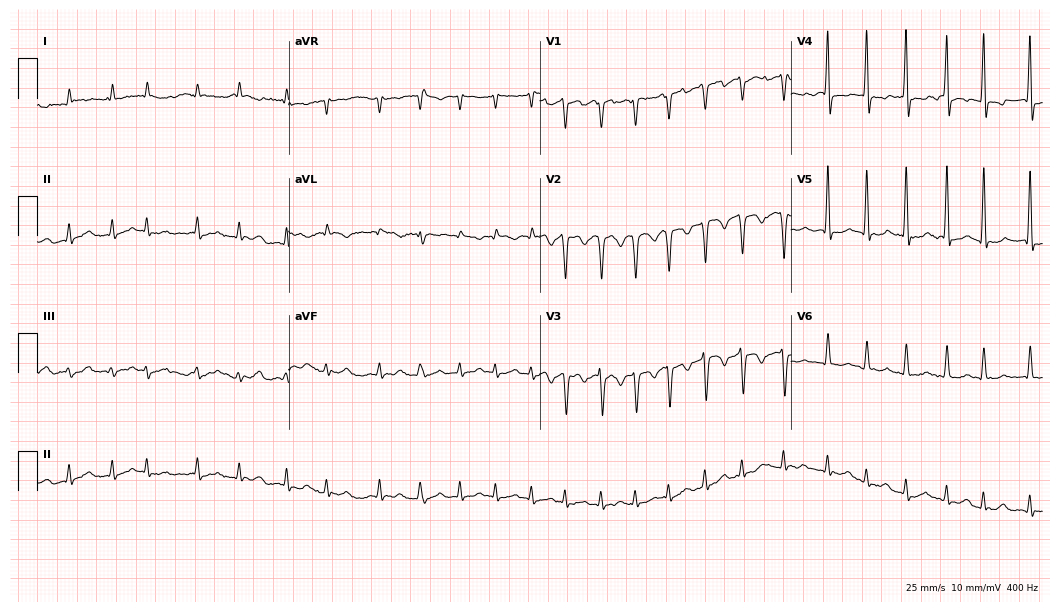
ECG (10.2-second recording at 400 Hz) — a 73-year-old male patient. Screened for six findings — first-degree AV block, right bundle branch block, left bundle branch block, sinus bradycardia, atrial fibrillation, sinus tachycardia — none is recorded. Only these six findings were labelled.